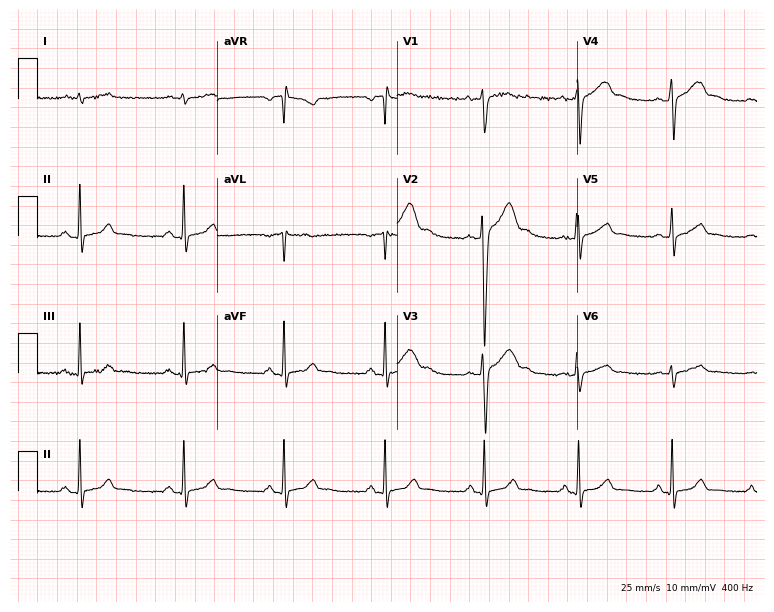
12-lead ECG from a male patient, 30 years old (7.3-second recording at 400 Hz). No first-degree AV block, right bundle branch block (RBBB), left bundle branch block (LBBB), sinus bradycardia, atrial fibrillation (AF) or sinus tachycardia recorded for this tracing. Only these six findings were labelled.